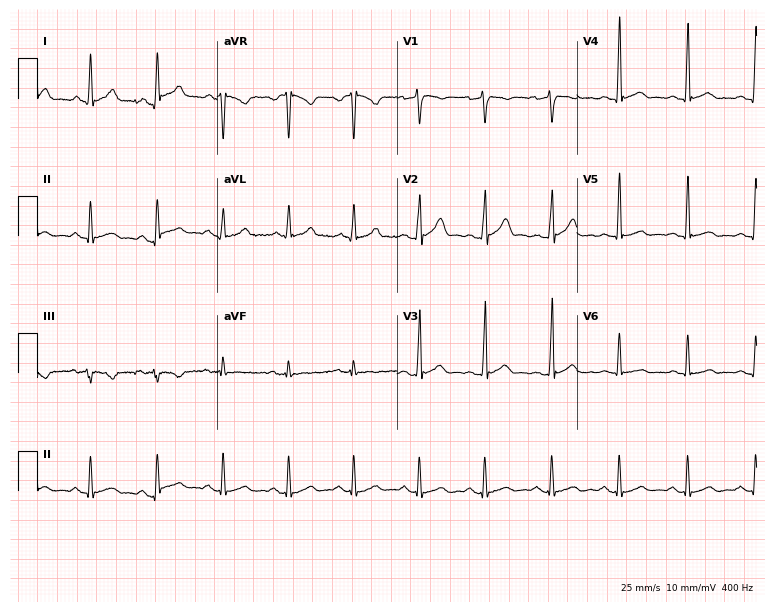
ECG (7.3-second recording at 400 Hz) — a male, 38 years old. Labelled as a normal ECG.